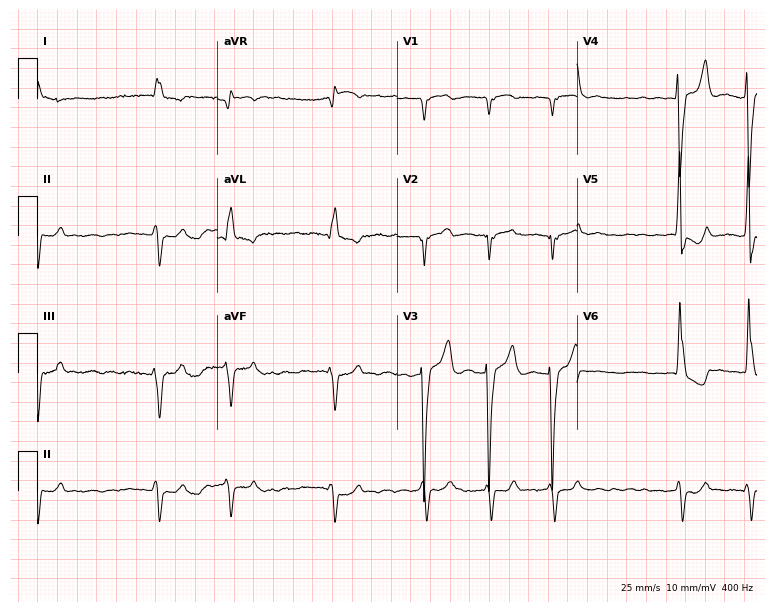
Electrocardiogram (7.3-second recording at 400 Hz), an 84-year-old male patient. Interpretation includes atrial fibrillation.